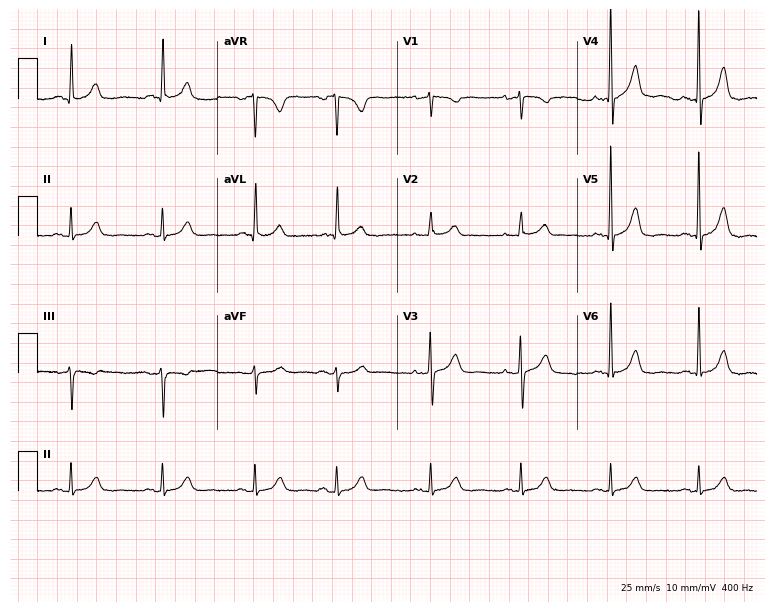
Resting 12-lead electrocardiogram (7.3-second recording at 400 Hz). Patient: a 75-year-old female. Read as a normal ECG.